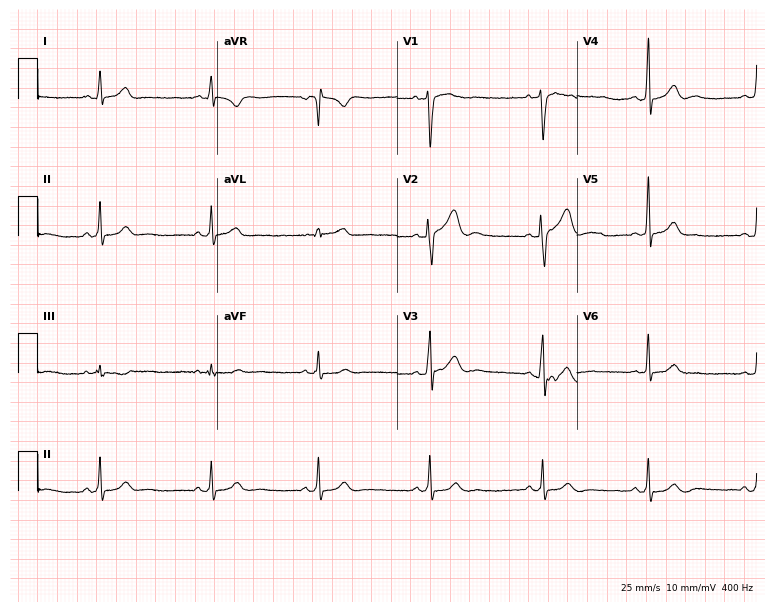
Standard 12-lead ECG recorded from a 26-year-old man. None of these six findings is recorded: first-degree AV block, right bundle branch block (RBBB), left bundle branch block (LBBB), sinus bradycardia, atrial fibrillation (AF), sinus tachycardia. Only these six findings were labelled.